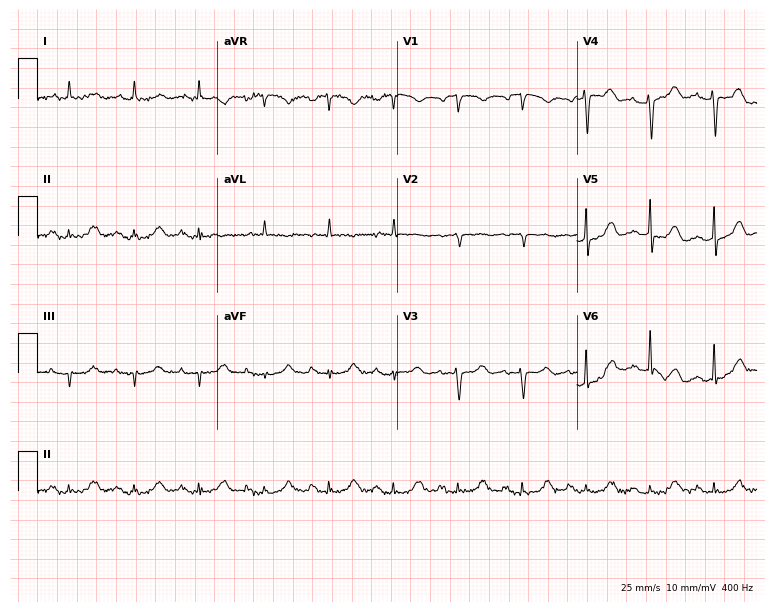
Resting 12-lead electrocardiogram. Patient: an 85-year-old woman. None of these six findings is recorded: first-degree AV block, right bundle branch block (RBBB), left bundle branch block (LBBB), sinus bradycardia, atrial fibrillation (AF), sinus tachycardia. Other findings, if any, are not listed.